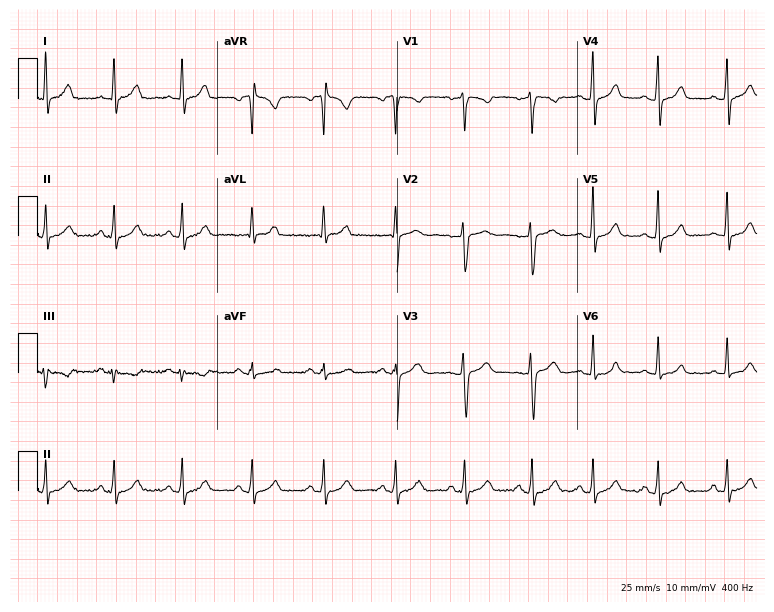
Electrocardiogram (7.3-second recording at 400 Hz), a female, 32 years old. Overall reading on record: normal ECG.